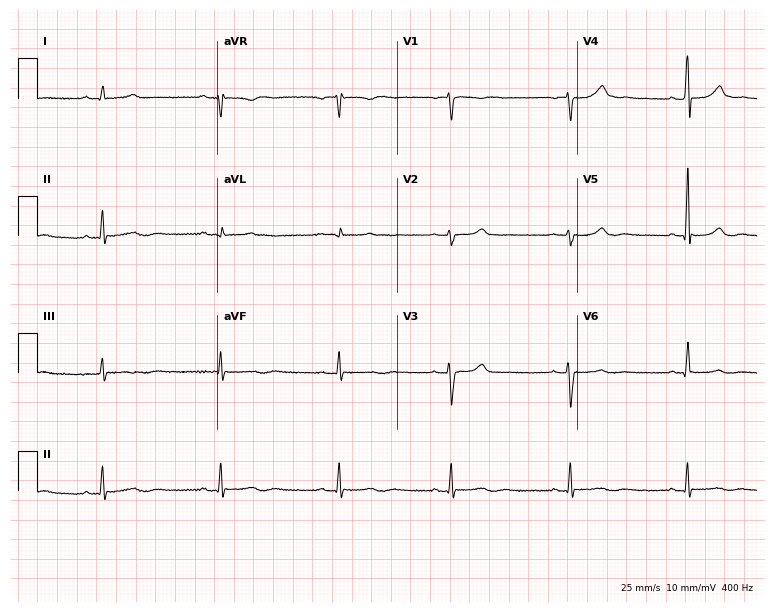
Electrocardiogram (7.3-second recording at 400 Hz), a 32-year-old female patient. Of the six screened findings (first-degree AV block, right bundle branch block, left bundle branch block, sinus bradycardia, atrial fibrillation, sinus tachycardia), none is recorded.